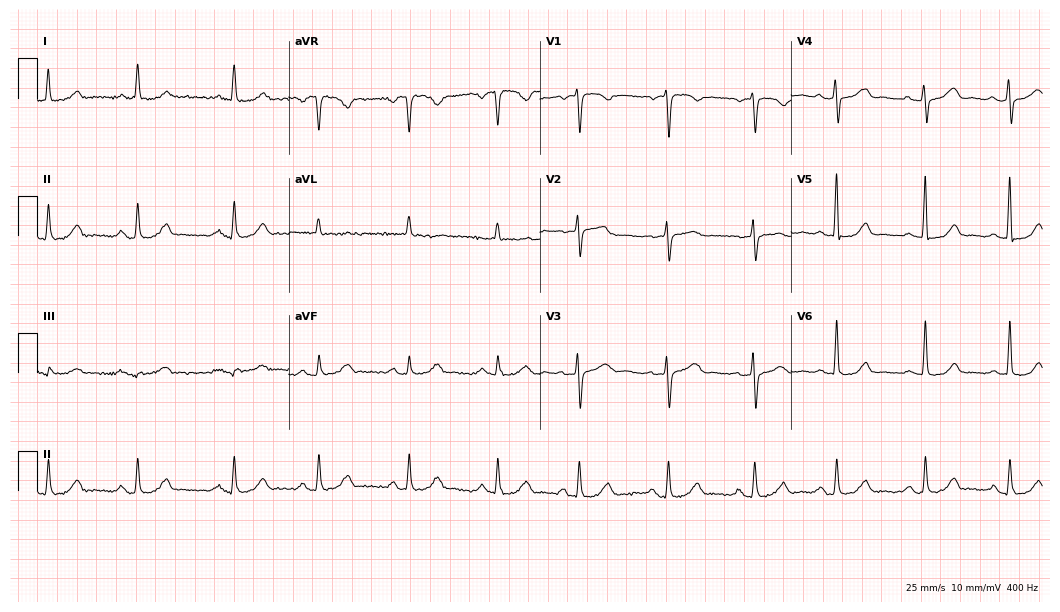
12-lead ECG from a 60-year-old female patient. Screened for six findings — first-degree AV block, right bundle branch block, left bundle branch block, sinus bradycardia, atrial fibrillation, sinus tachycardia — none is recorded.